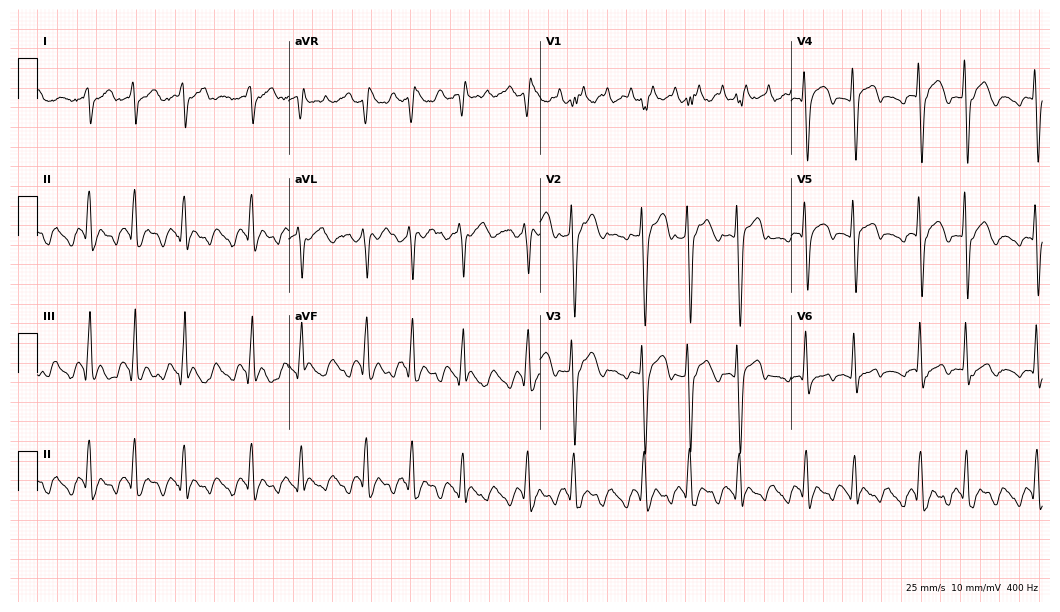
12-lead ECG (10.2-second recording at 400 Hz) from a 24-year-old male patient. Findings include atrial fibrillation.